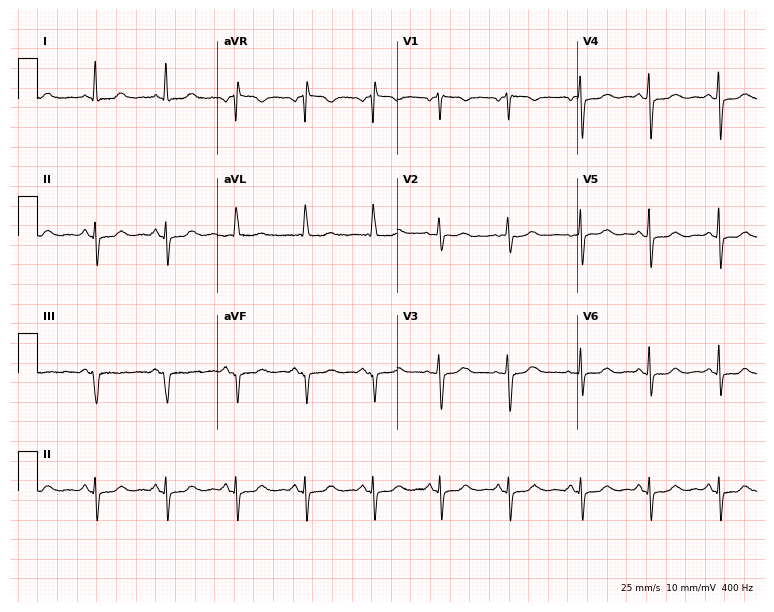
Standard 12-lead ECG recorded from a female patient, 51 years old. None of these six findings is recorded: first-degree AV block, right bundle branch block, left bundle branch block, sinus bradycardia, atrial fibrillation, sinus tachycardia. Other findings, if any, are not listed.